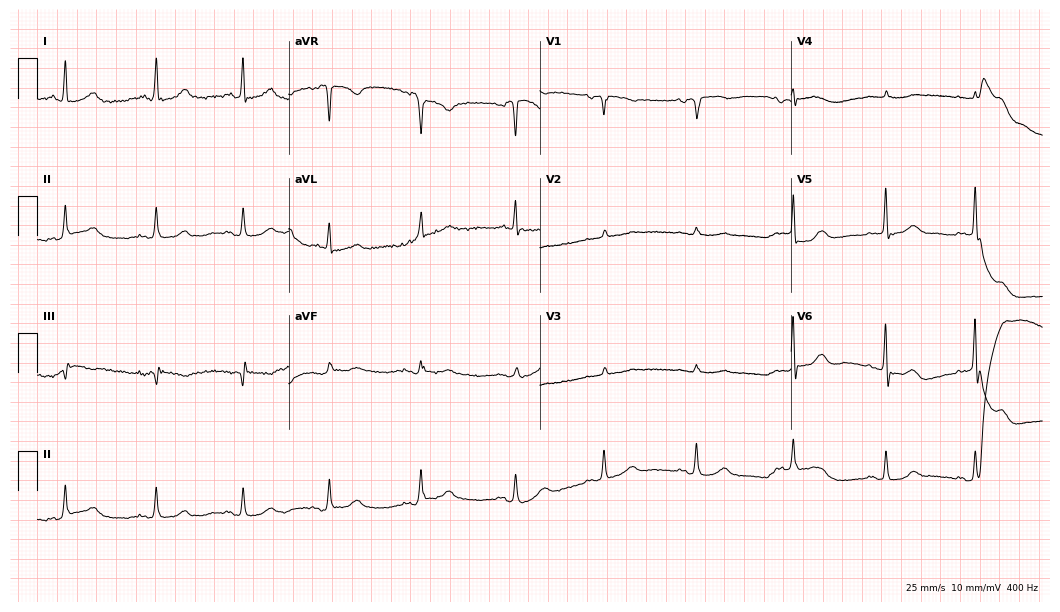
Standard 12-lead ECG recorded from a 69-year-old female patient (10.2-second recording at 400 Hz). The tracing shows atrial fibrillation.